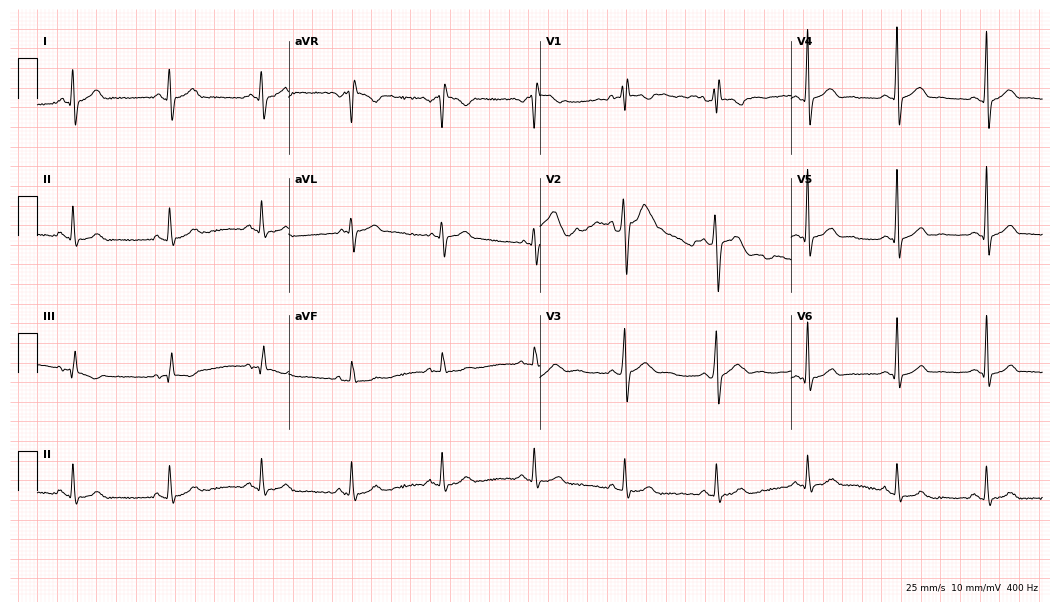
Electrocardiogram, a male, 38 years old. Of the six screened findings (first-degree AV block, right bundle branch block, left bundle branch block, sinus bradycardia, atrial fibrillation, sinus tachycardia), none is recorded. Other findings, if any, are not listed.